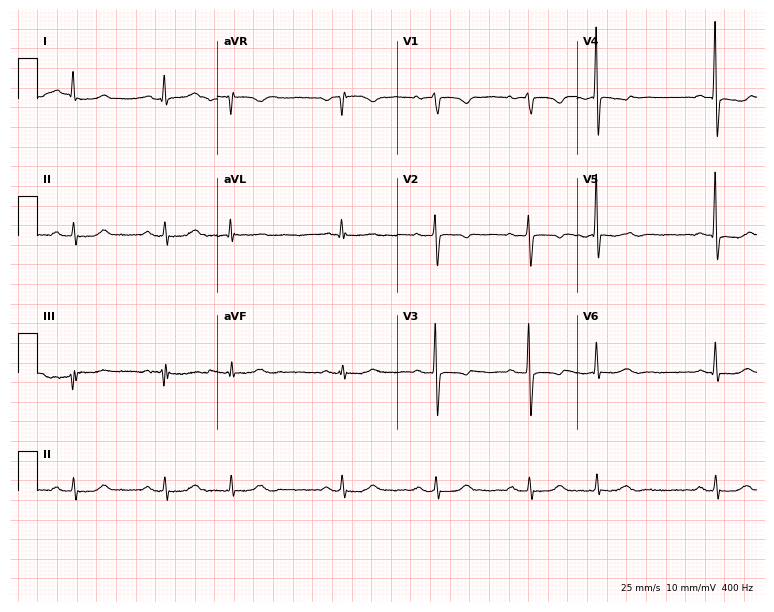
12-lead ECG from a female patient, 61 years old (7.3-second recording at 400 Hz). No first-degree AV block, right bundle branch block (RBBB), left bundle branch block (LBBB), sinus bradycardia, atrial fibrillation (AF) or sinus tachycardia recorded for this tracing.